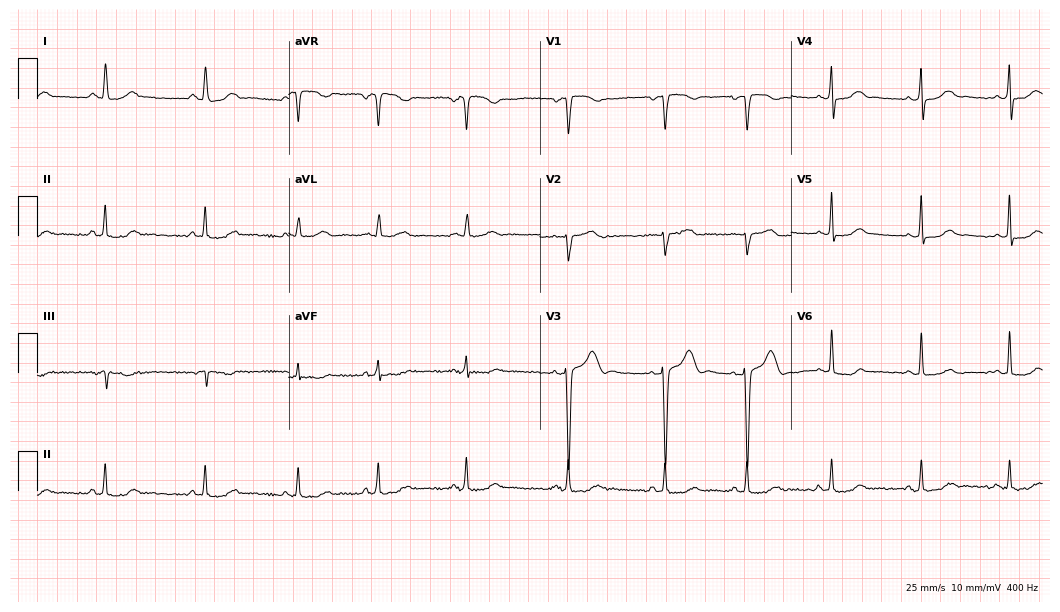
ECG — a female patient, 28 years old. Screened for six findings — first-degree AV block, right bundle branch block (RBBB), left bundle branch block (LBBB), sinus bradycardia, atrial fibrillation (AF), sinus tachycardia — none is recorded. Other findings, if any, are not listed.